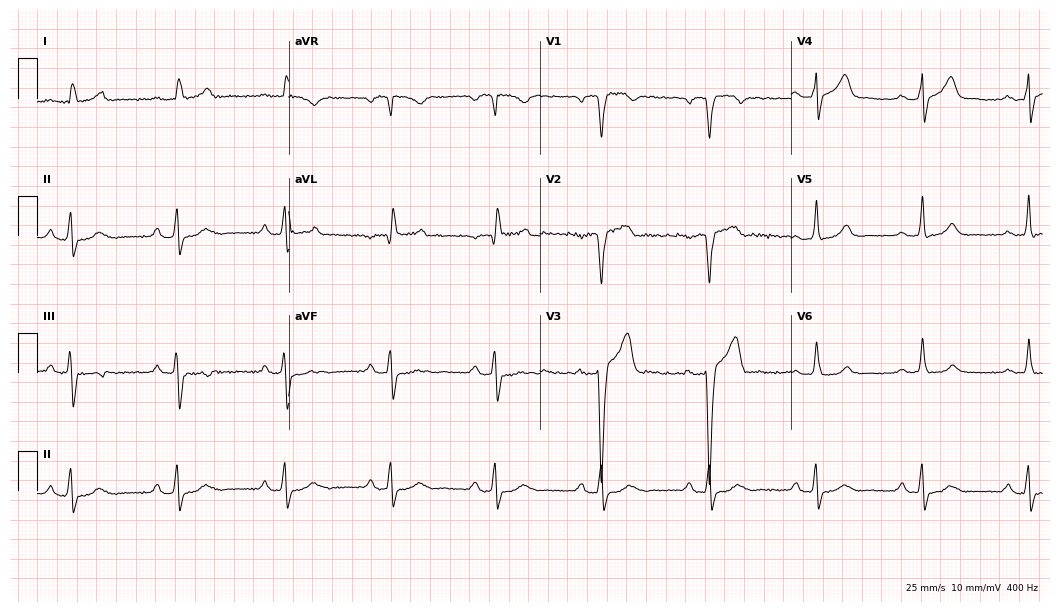
Resting 12-lead electrocardiogram (10.2-second recording at 400 Hz). Patient: a 49-year-old man. None of these six findings is recorded: first-degree AV block, right bundle branch block, left bundle branch block, sinus bradycardia, atrial fibrillation, sinus tachycardia.